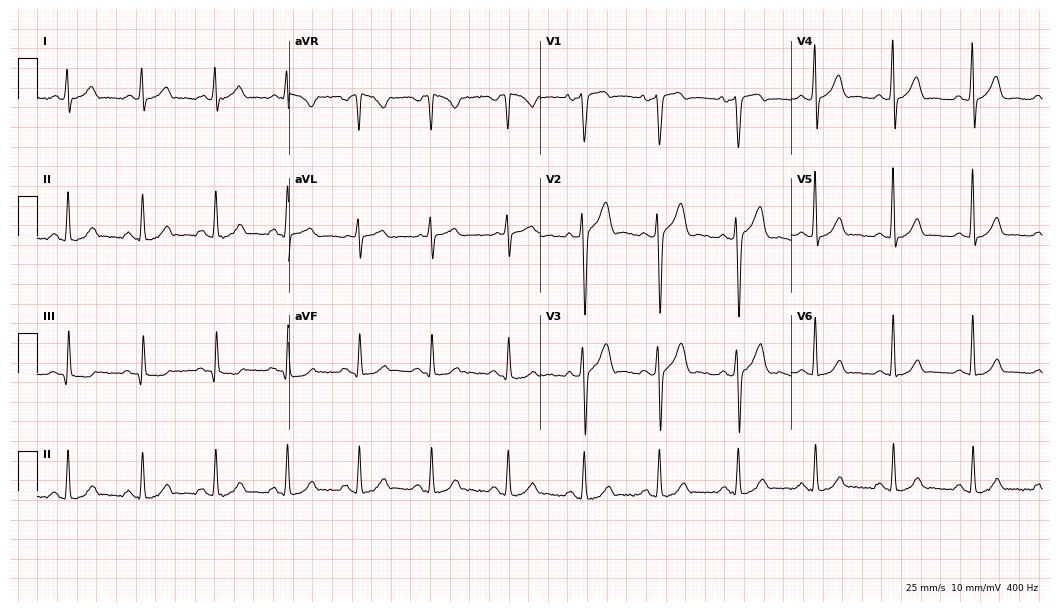
12-lead ECG from a 52-year-old male (10.2-second recording at 400 Hz). No first-degree AV block, right bundle branch block, left bundle branch block, sinus bradycardia, atrial fibrillation or sinus tachycardia recorded for this tracing. Only these six findings were labelled.